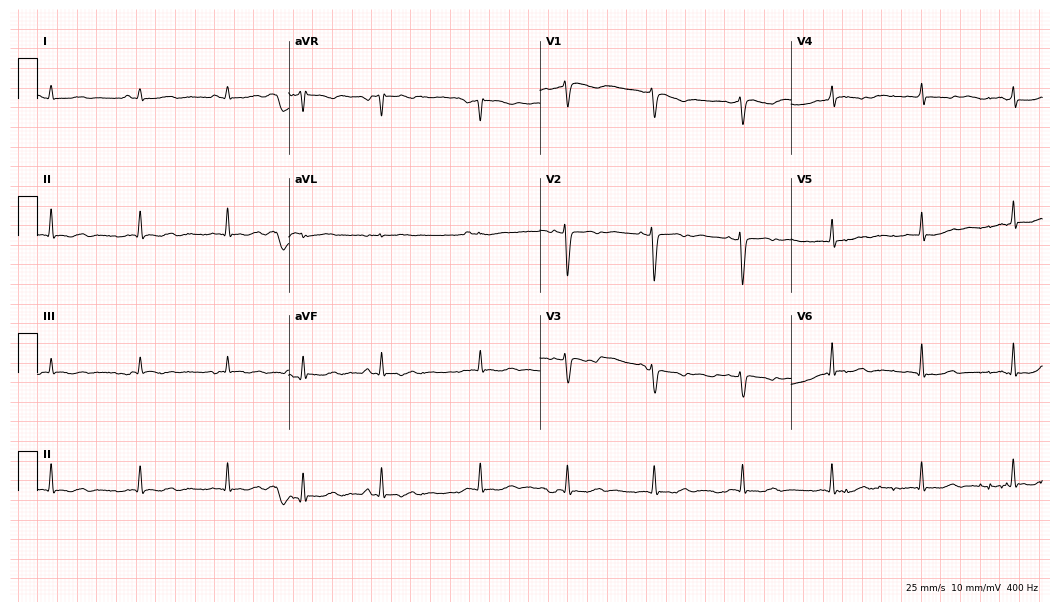
12-lead ECG from a 21-year-old female (10.2-second recording at 400 Hz). No first-degree AV block, right bundle branch block (RBBB), left bundle branch block (LBBB), sinus bradycardia, atrial fibrillation (AF) or sinus tachycardia recorded for this tracing. Other findings, if any, are not listed.